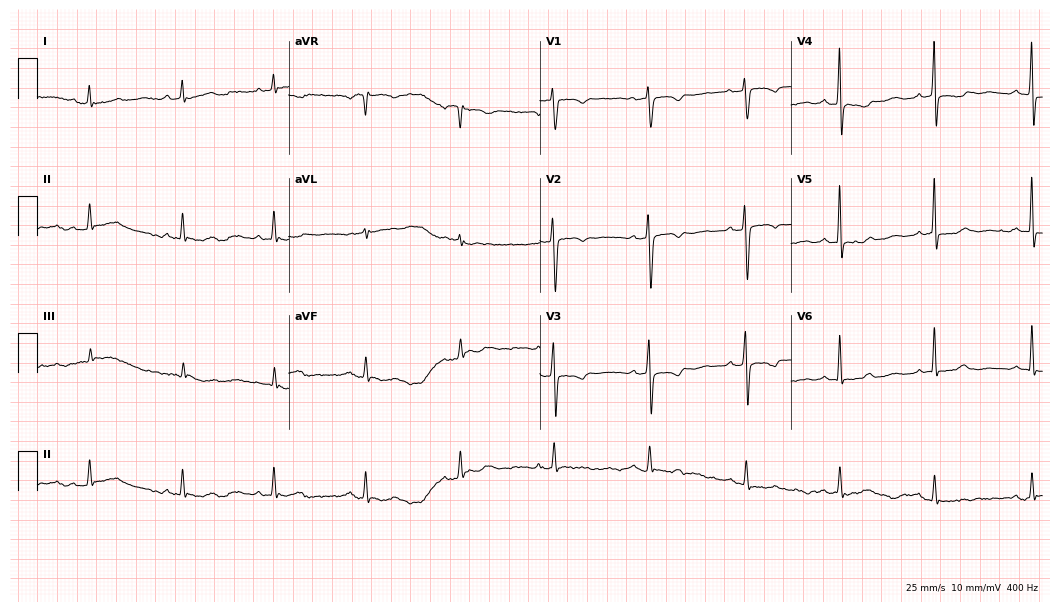
ECG (10.2-second recording at 400 Hz) — a 57-year-old female. Screened for six findings — first-degree AV block, right bundle branch block, left bundle branch block, sinus bradycardia, atrial fibrillation, sinus tachycardia — none is recorded. Findings outside these six are not listed.